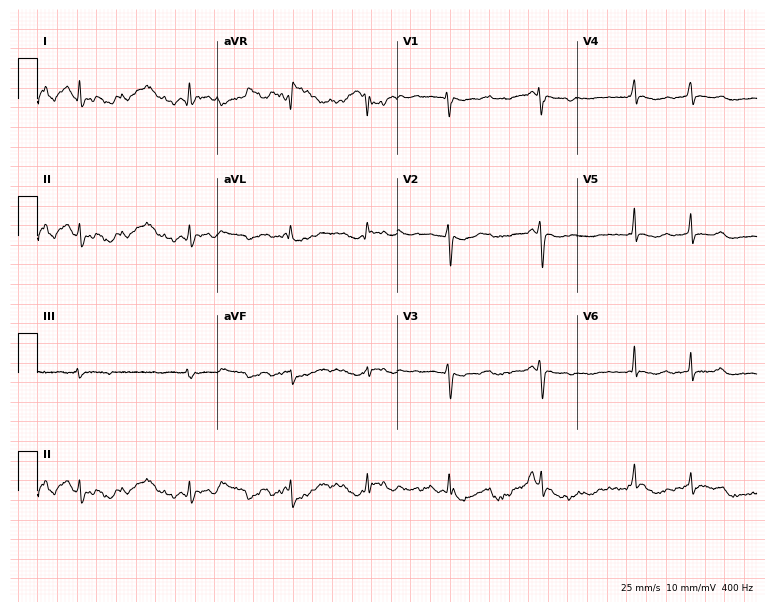
Electrocardiogram, a woman, 47 years old. Of the six screened findings (first-degree AV block, right bundle branch block, left bundle branch block, sinus bradycardia, atrial fibrillation, sinus tachycardia), none is recorded.